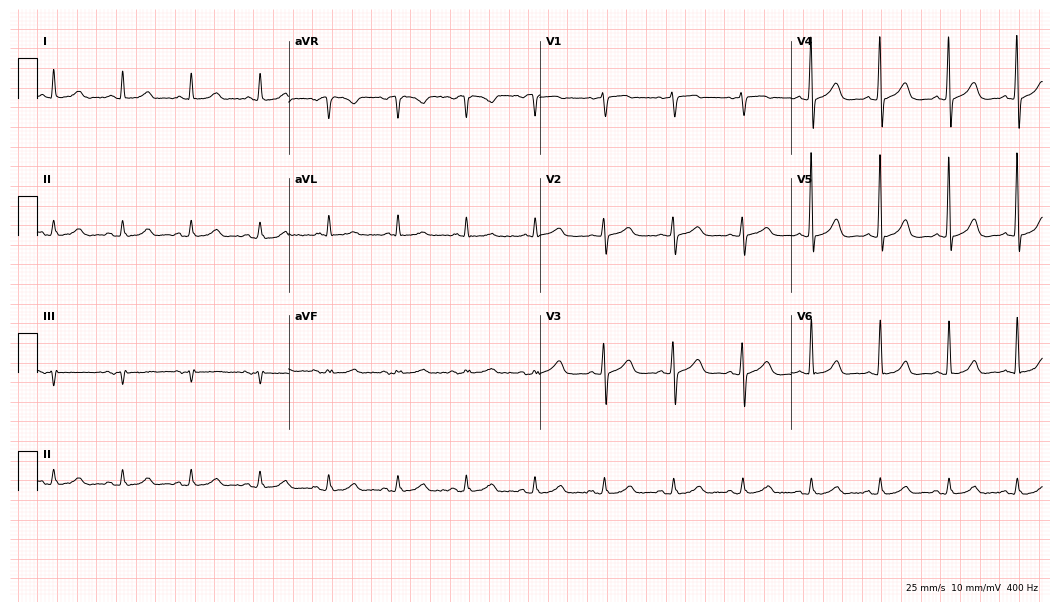
12-lead ECG from a 78-year-old female. Recorded interpretation: within normal limits.